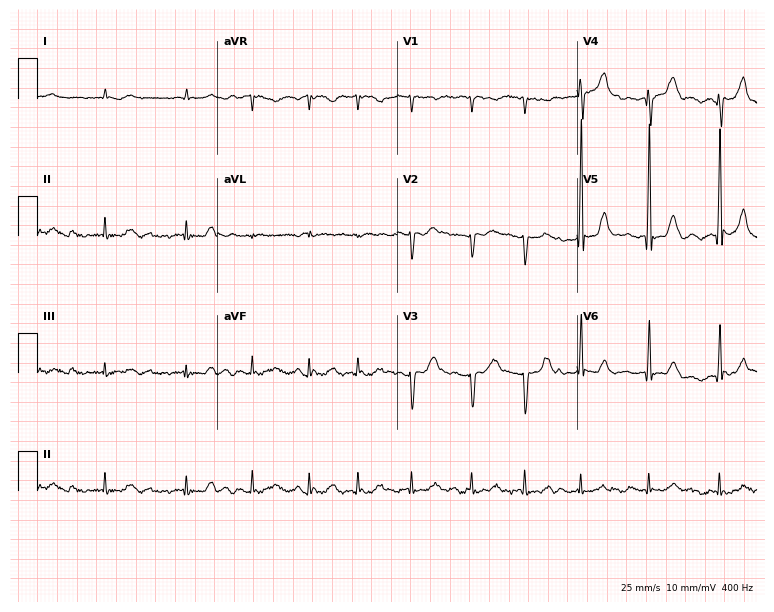
ECG (7.3-second recording at 400 Hz) — an 82-year-old male patient. Findings include atrial fibrillation.